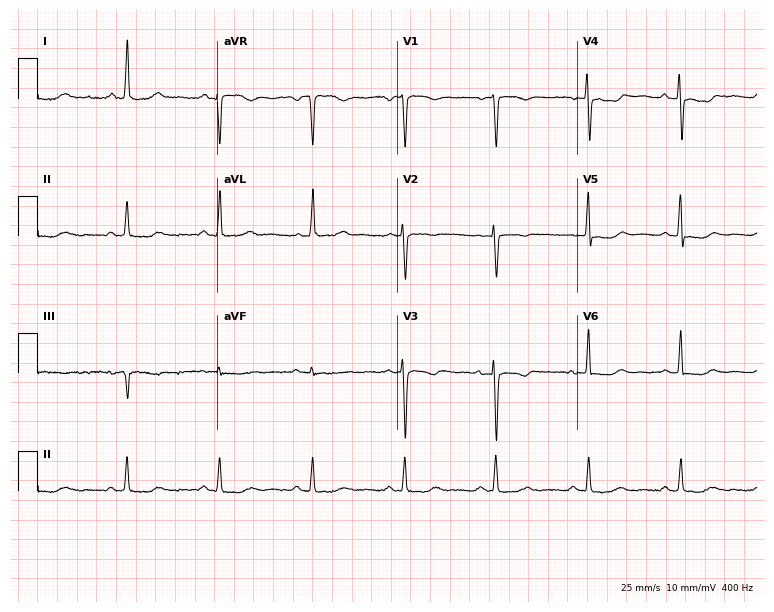
Resting 12-lead electrocardiogram. Patient: a 54-year-old woman. None of these six findings is recorded: first-degree AV block, right bundle branch block (RBBB), left bundle branch block (LBBB), sinus bradycardia, atrial fibrillation (AF), sinus tachycardia.